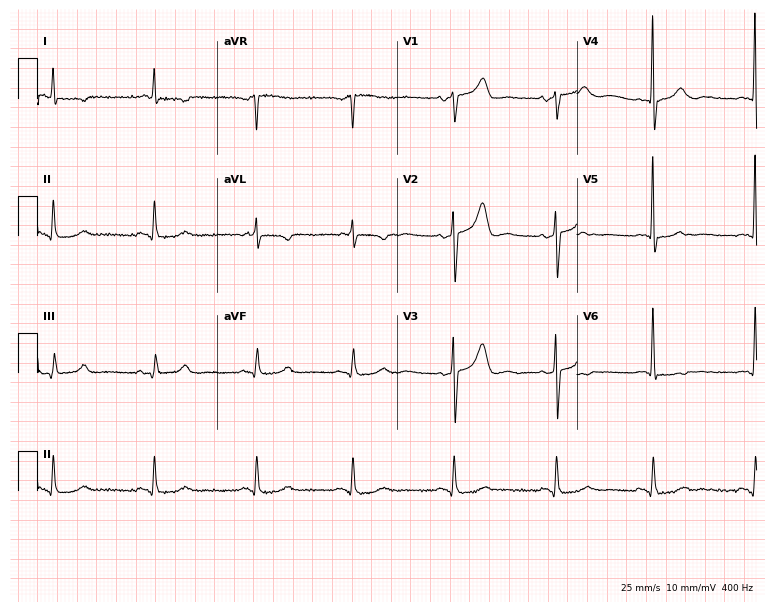
Resting 12-lead electrocardiogram. Patient: a 71-year-old female. None of these six findings is recorded: first-degree AV block, right bundle branch block, left bundle branch block, sinus bradycardia, atrial fibrillation, sinus tachycardia.